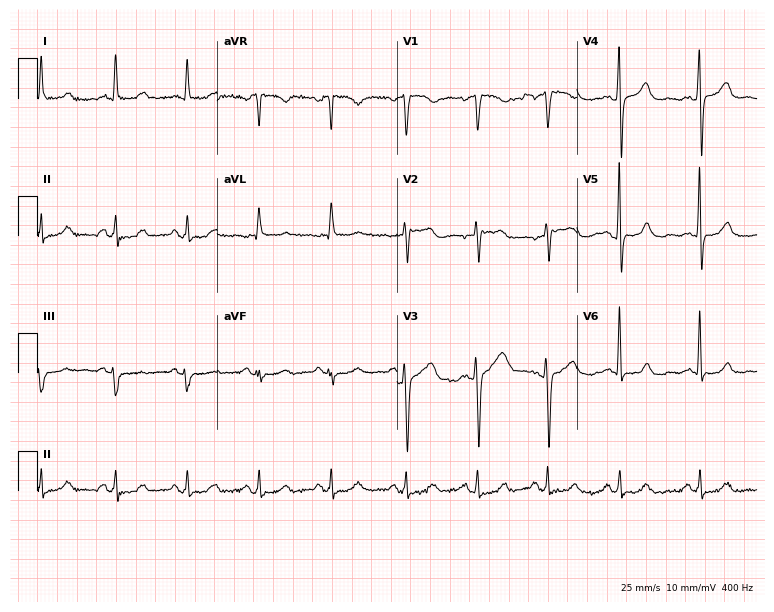
Standard 12-lead ECG recorded from a female patient, 56 years old. Read as a normal ECG.